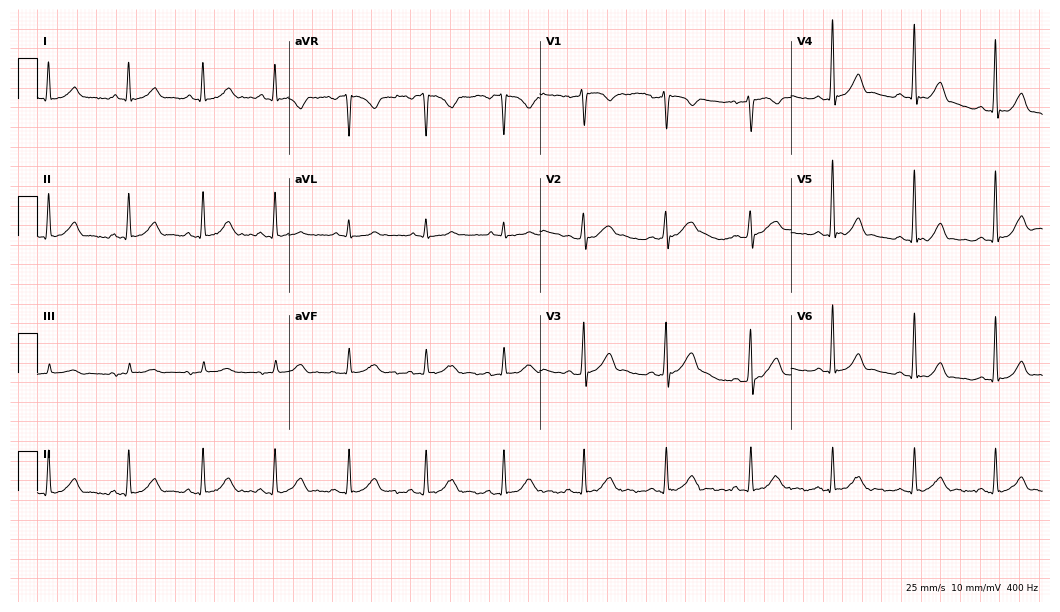
Resting 12-lead electrocardiogram. Patient: a male, 48 years old. Read as a normal ECG.